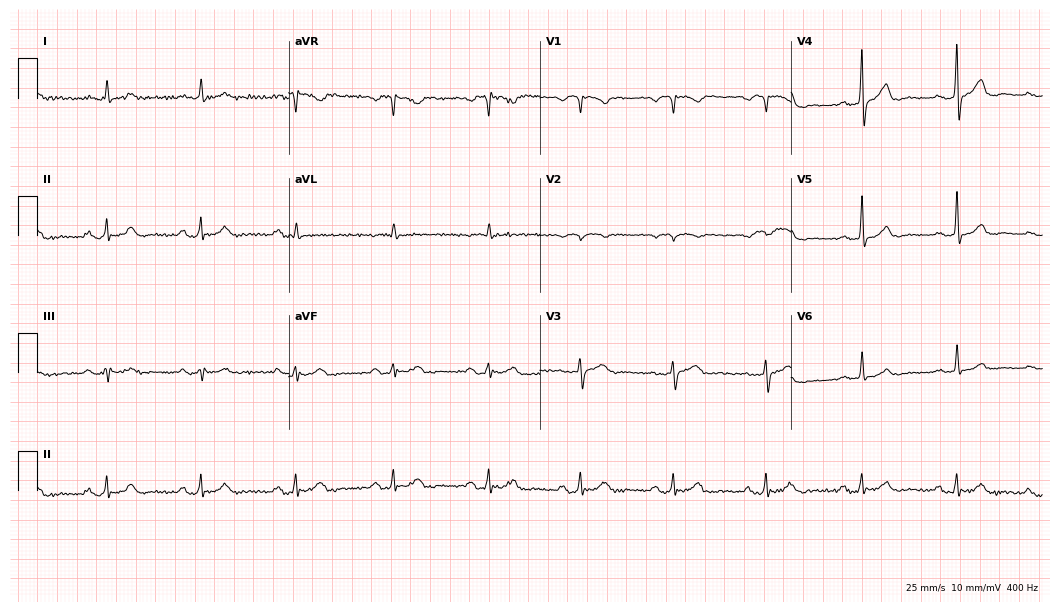
12-lead ECG from a 76-year-old male patient. Recorded interpretation: within normal limits.